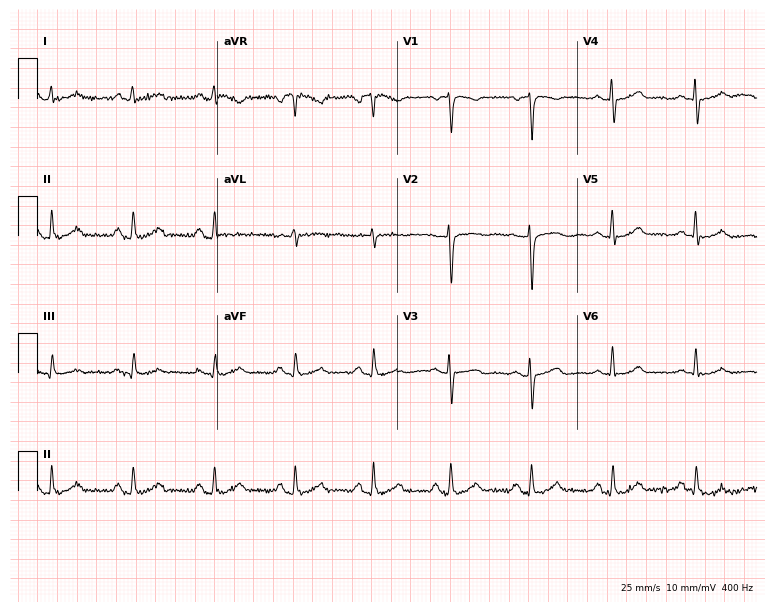
ECG (7.3-second recording at 400 Hz) — a 56-year-old woman. Labelled as a normal ECG.